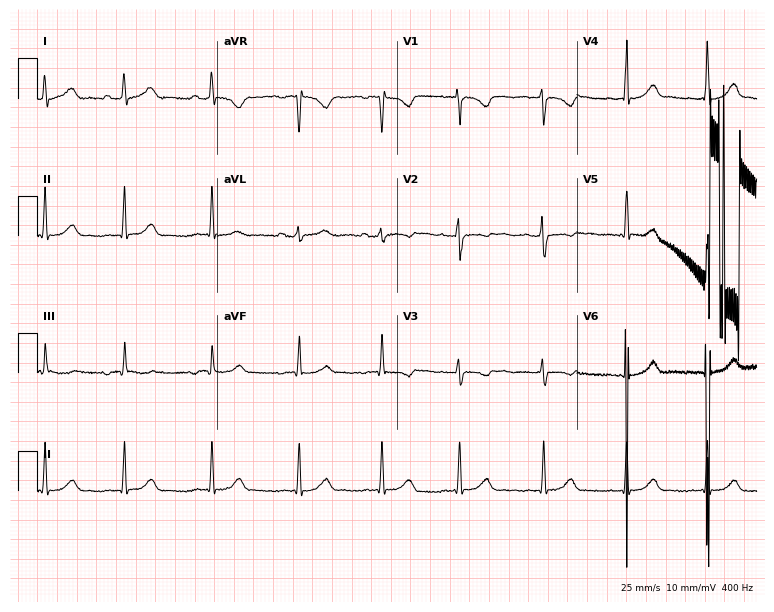
12-lead ECG (7.3-second recording at 400 Hz) from a female patient, 17 years old. Screened for six findings — first-degree AV block, right bundle branch block, left bundle branch block, sinus bradycardia, atrial fibrillation, sinus tachycardia — none is recorded.